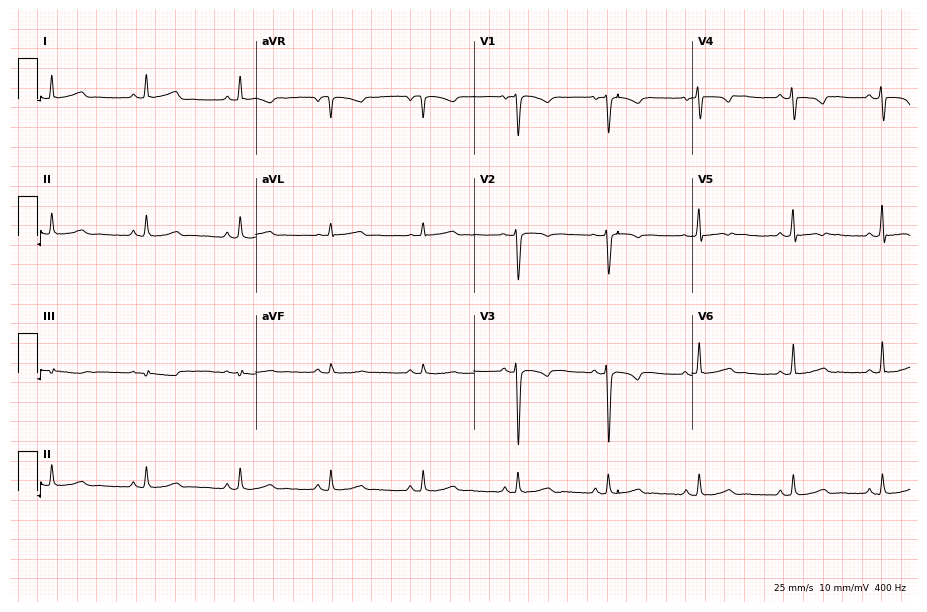
Standard 12-lead ECG recorded from a 33-year-old woman. None of these six findings is recorded: first-degree AV block, right bundle branch block (RBBB), left bundle branch block (LBBB), sinus bradycardia, atrial fibrillation (AF), sinus tachycardia.